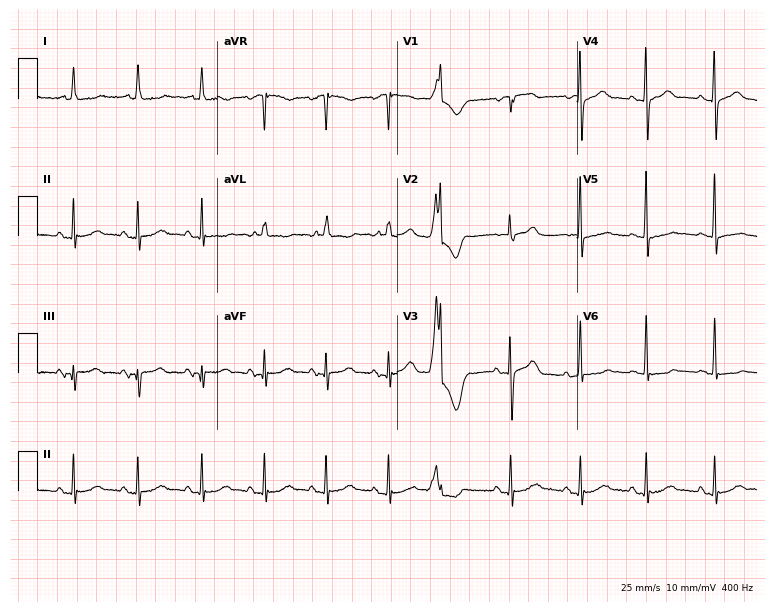
Resting 12-lead electrocardiogram (7.3-second recording at 400 Hz). Patient: a woman, 81 years old. None of these six findings is recorded: first-degree AV block, right bundle branch block, left bundle branch block, sinus bradycardia, atrial fibrillation, sinus tachycardia. Other findings, if any, are not listed.